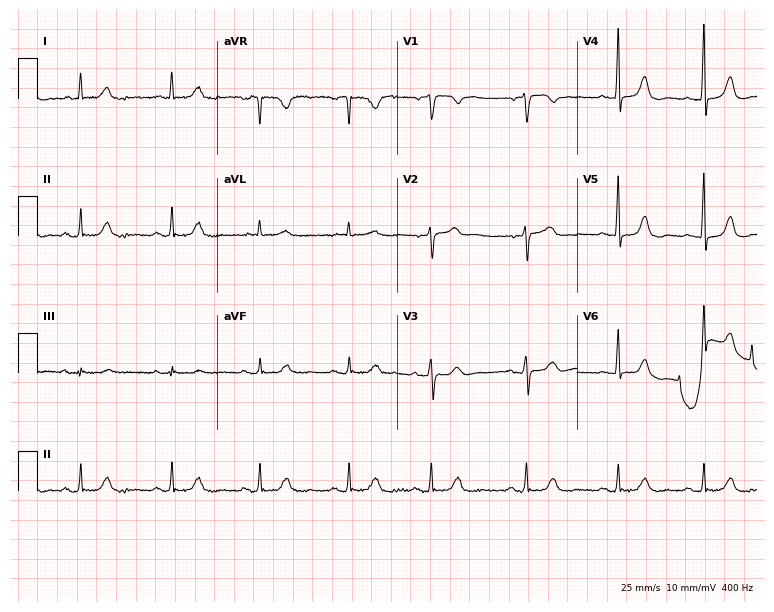
Resting 12-lead electrocardiogram (7.3-second recording at 400 Hz). Patient: a female, 75 years old. Read as a normal ECG.